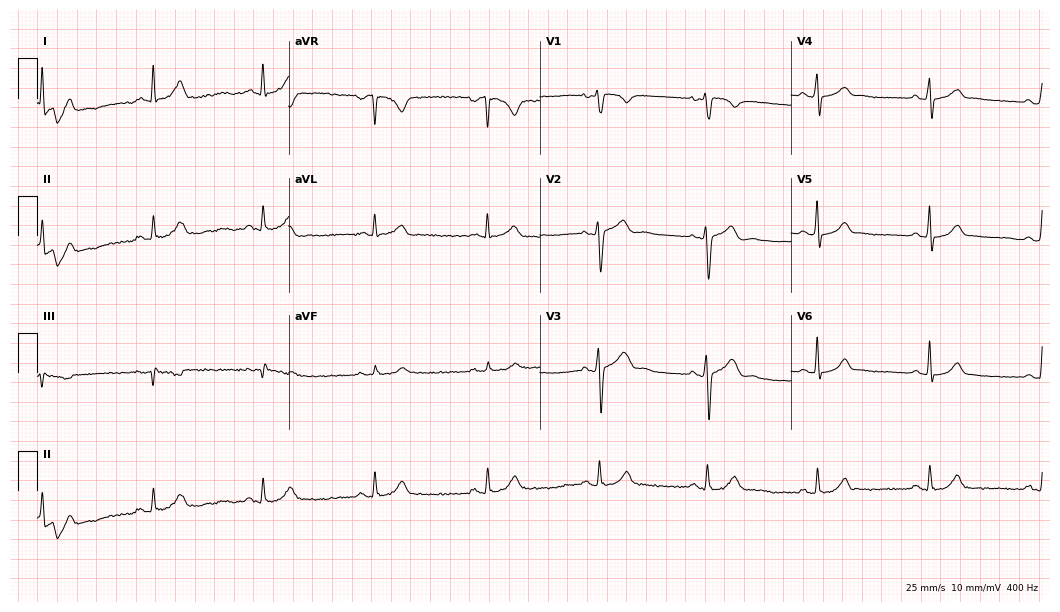
Resting 12-lead electrocardiogram. Patient: a 36-year-old man. Read as a normal ECG.